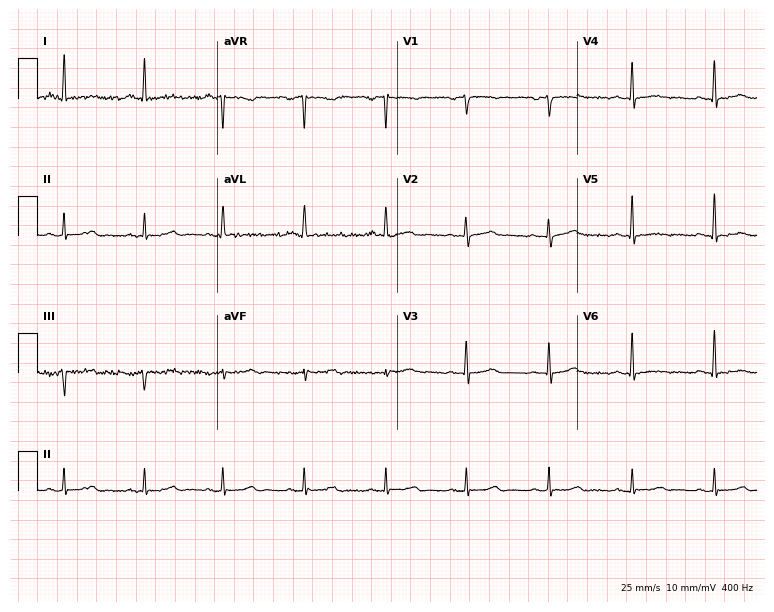
12-lead ECG from a 75-year-old female patient (7.3-second recording at 400 Hz). Recorded interpretation: within normal limits.